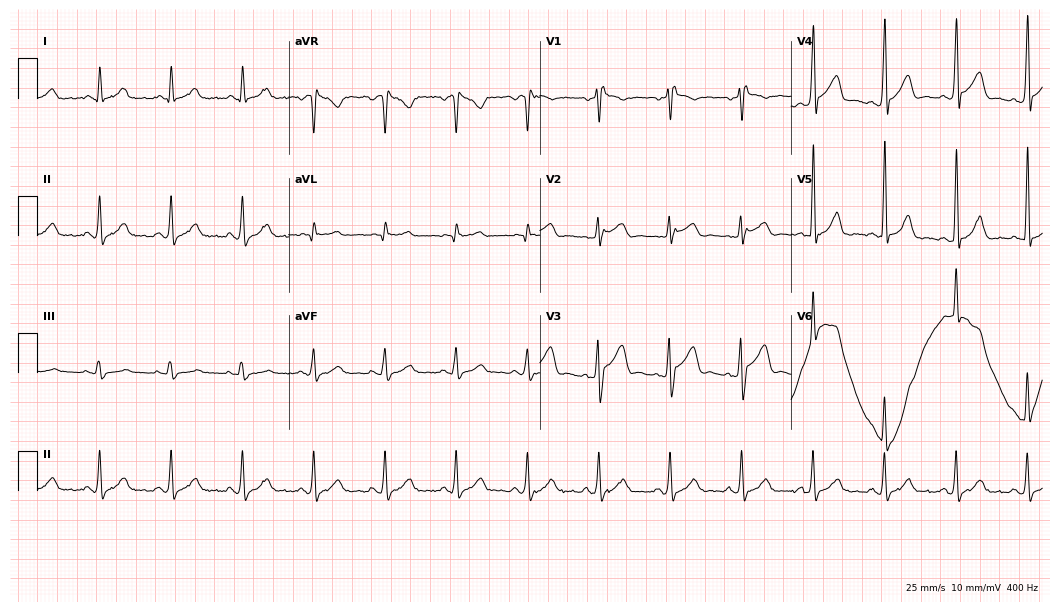
Electrocardiogram (10.2-second recording at 400 Hz), a 76-year-old female. Of the six screened findings (first-degree AV block, right bundle branch block, left bundle branch block, sinus bradycardia, atrial fibrillation, sinus tachycardia), none is recorded. Only these six findings were labelled.